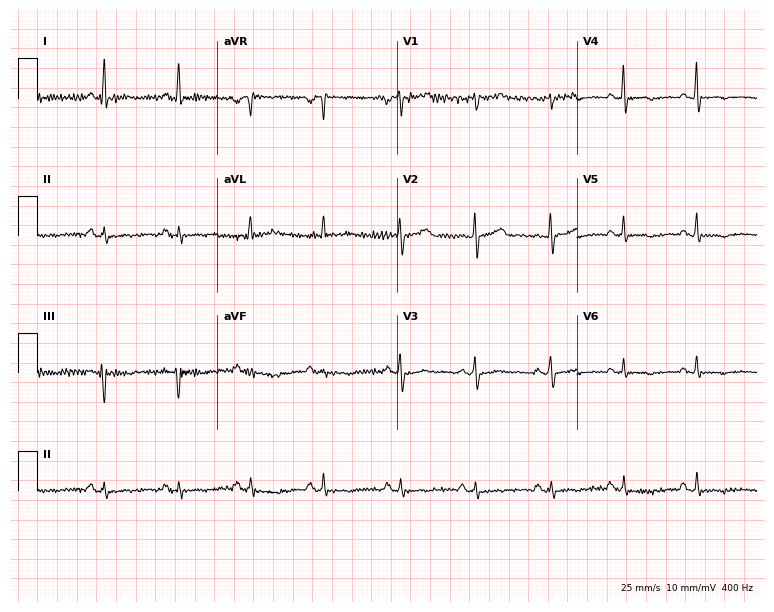
Standard 12-lead ECG recorded from a woman, 67 years old. None of these six findings is recorded: first-degree AV block, right bundle branch block (RBBB), left bundle branch block (LBBB), sinus bradycardia, atrial fibrillation (AF), sinus tachycardia.